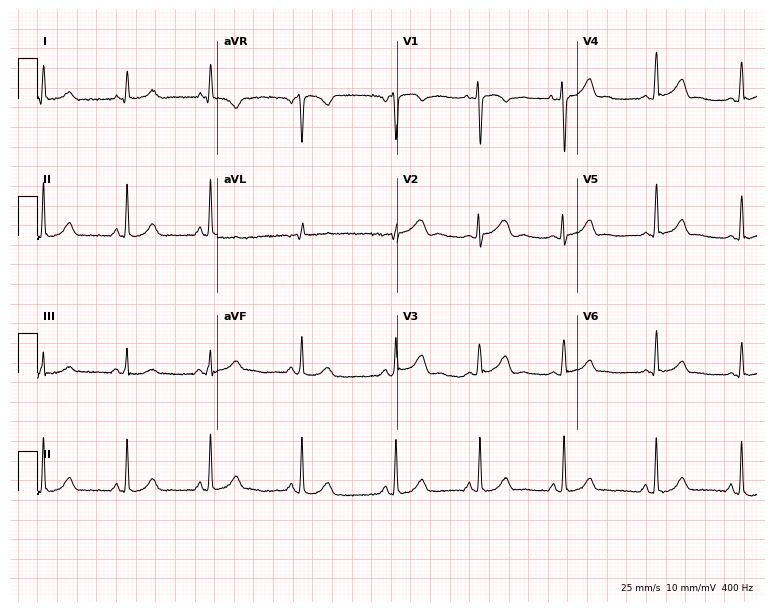
12-lead ECG from a 17-year-old female patient. No first-degree AV block, right bundle branch block (RBBB), left bundle branch block (LBBB), sinus bradycardia, atrial fibrillation (AF) or sinus tachycardia recorded for this tracing.